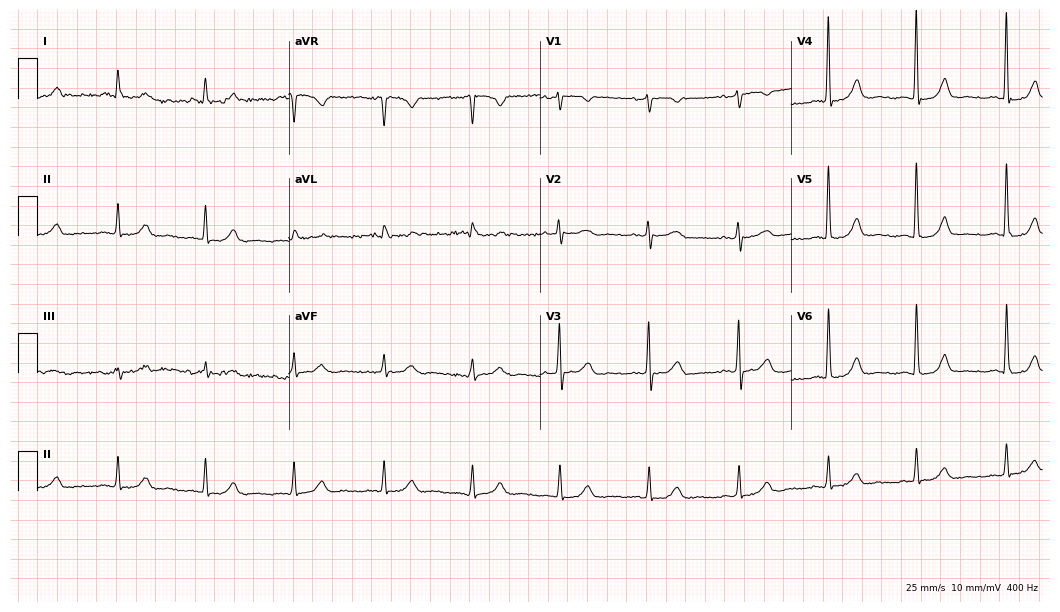
Standard 12-lead ECG recorded from a female, 71 years old (10.2-second recording at 400 Hz). Read as a normal ECG.